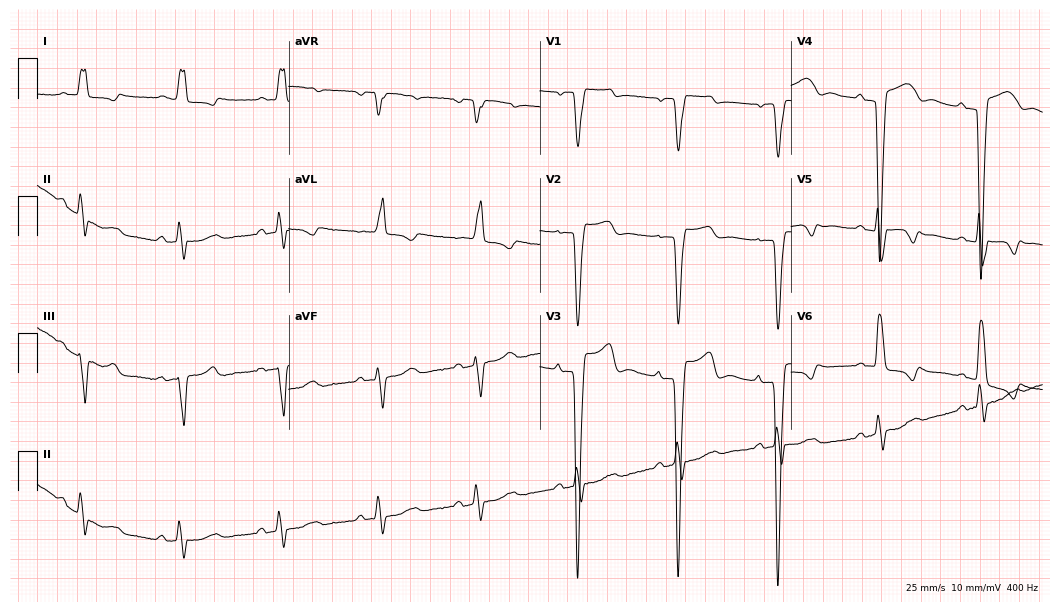
Standard 12-lead ECG recorded from a female, 80 years old (10.2-second recording at 400 Hz). The tracing shows left bundle branch block (LBBB).